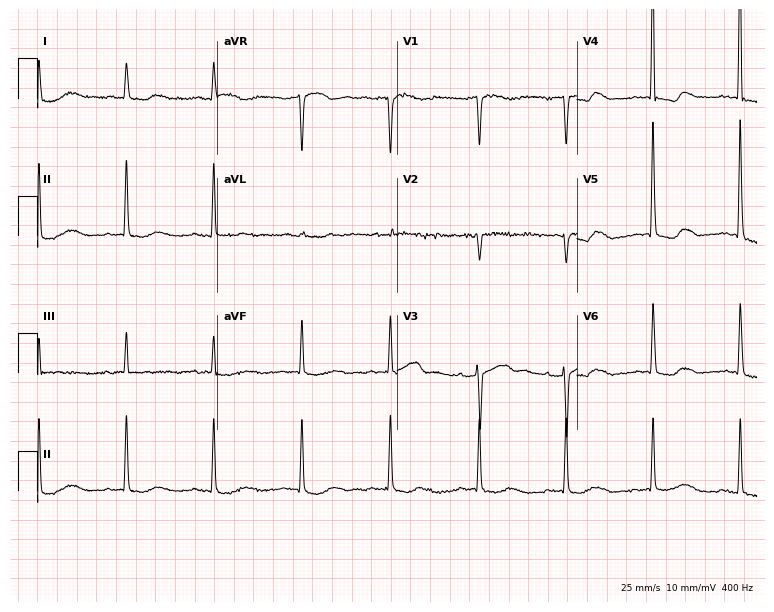
Standard 12-lead ECG recorded from an 85-year-old woman (7.3-second recording at 400 Hz). None of these six findings is recorded: first-degree AV block, right bundle branch block (RBBB), left bundle branch block (LBBB), sinus bradycardia, atrial fibrillation (AF), sinus tachycardia. Only these six findings were labelled.